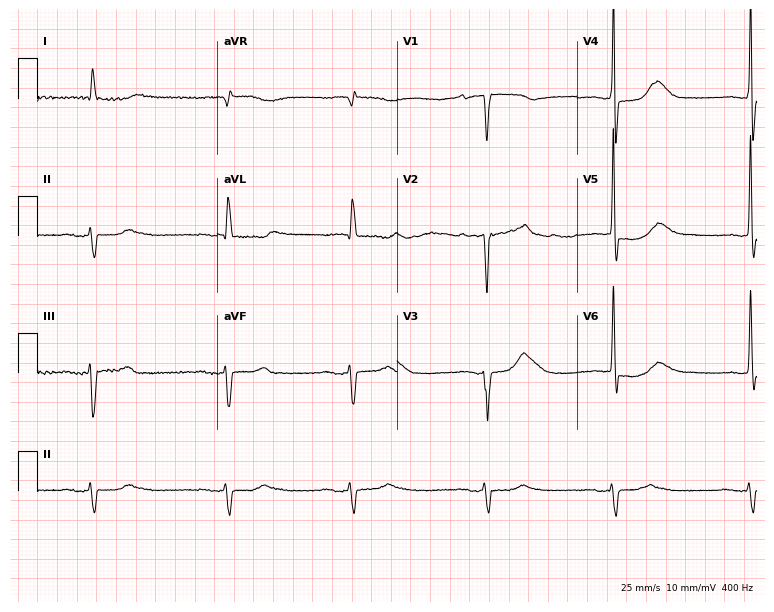
Resting 12-lead electrocardiogram (7.3-second recording at 400 Hz). Patient: a 76-year-old female. The tracing shows first-degree AV block, sinus bradycardia (a sinus rate of 50 beats per minute or less).